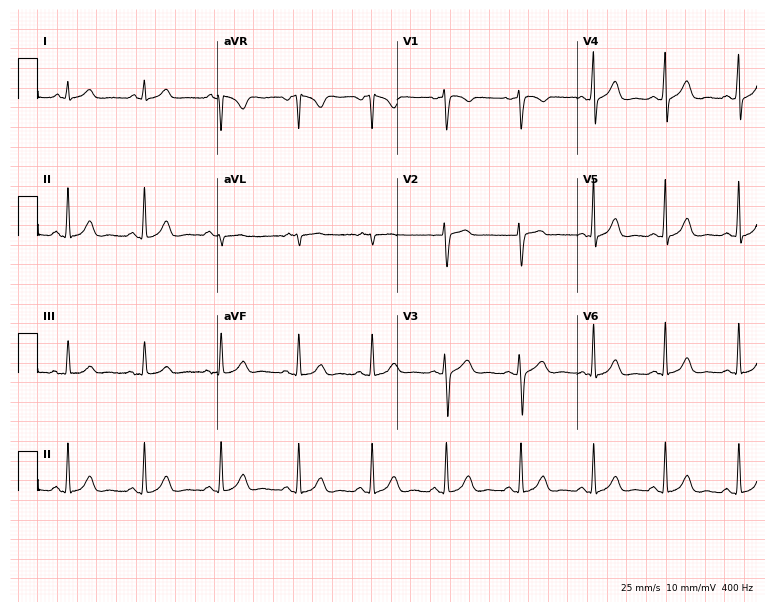
12-lead ECG (7.3-second recording at 400 Hz) from a 45-year-old female. Labelled as a normal ECG.